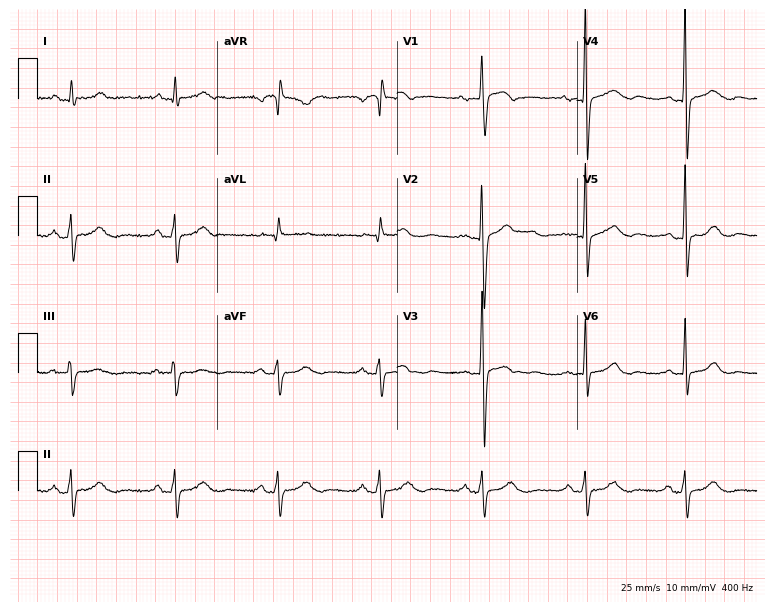
Resting 12-lead electrocardiogram. Patient: a female, 55 years old. None of these six findings is recorded: first-degree AV block, right bundle branch block, left bundle branch block, sinus bradycardia, atrial fibrillation, sinus tachycardia. Only these six findings were labelled.